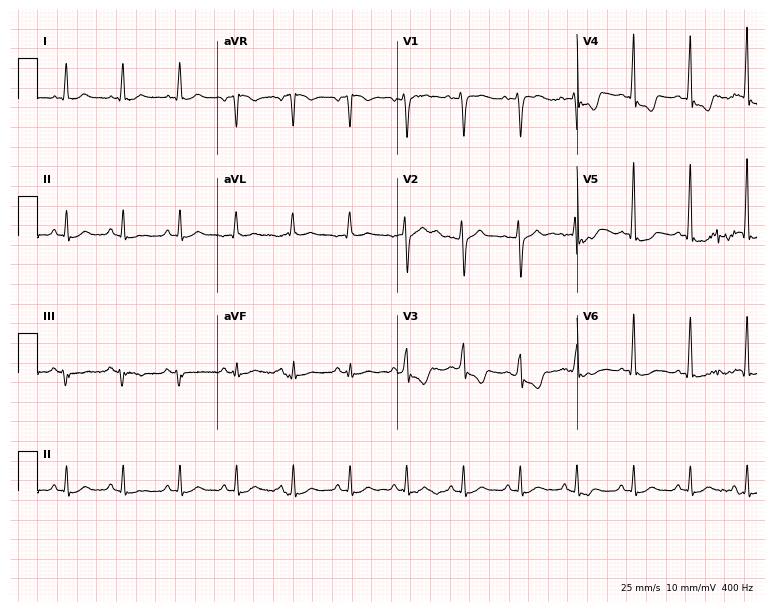
Resting 12-lead electrocardiogram. Patient: a 25-year-old male. None of these six findings is recorded: first-degree AV block, right bundle branch block, left bundle branch block, sinus bradycardia, atrial fibrillation, sinus tachycardia.